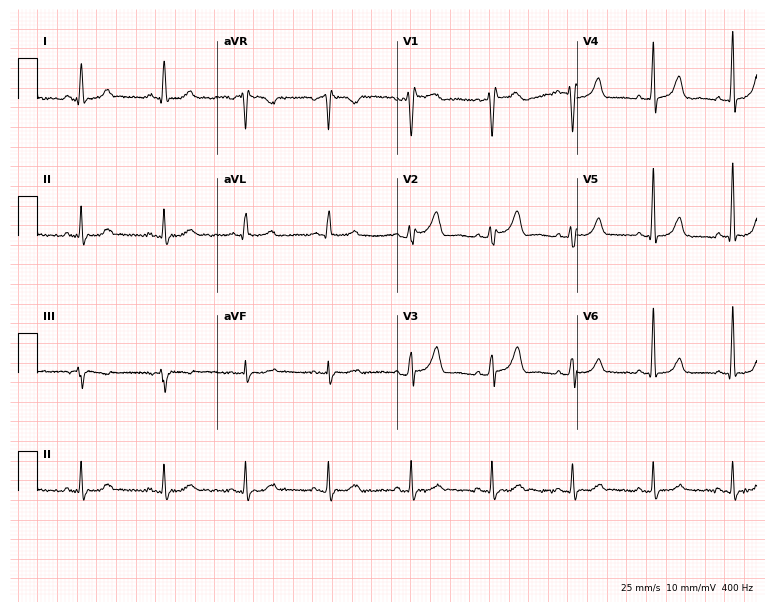
12-lead ECG (7.3-second recording at 400 Hz) from a 68-year-old female patient. Screened for six findings — first-degree AV block, right bundle branch block, left bundle branch block, sinus bradycardia, atrial fibrillation, sinus tachycardia — none is recorded. Findings outside these six are not listed.